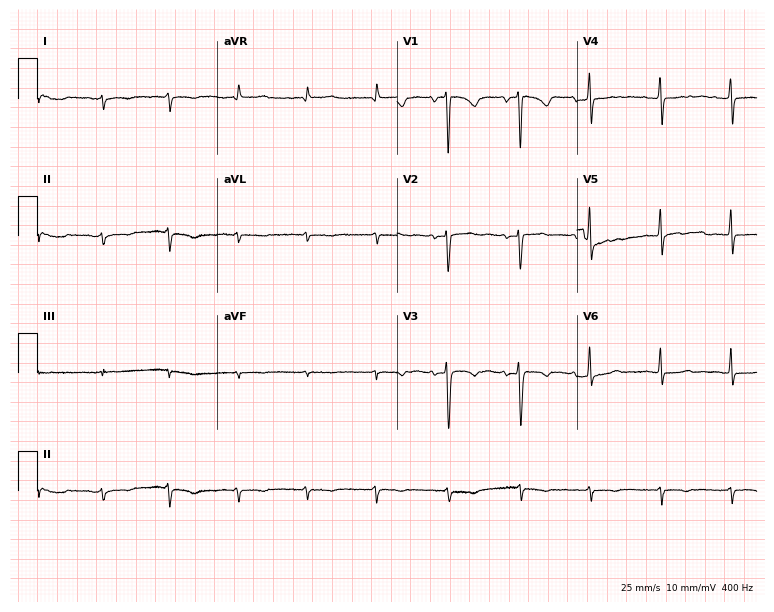
12-lead ECG (7.3-second recording at 400 Hz) from a 35-year-old female patient. Screened for six findings — first-degree AV block, right bundle branch block, left bundle branch block, sinus bradycardia, atrial fibrillation, sinus tachycardia — none is recorded. Other findings, if any, are not listed.